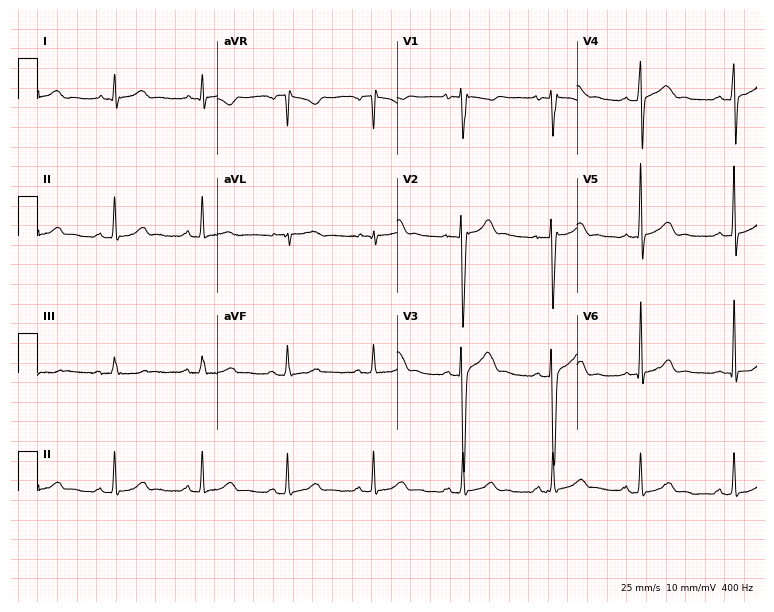
Standard 12-lead ECG recorded from a male, 20 years old (7.3-second recording at 400 Hz). None of these six findings is recorded: first-degree AV block, right bundle branch block (RBBB), left bundle branch block (LBBB), sinus bradycardia, atrial fibrillation (AF), sinus tachycardia.